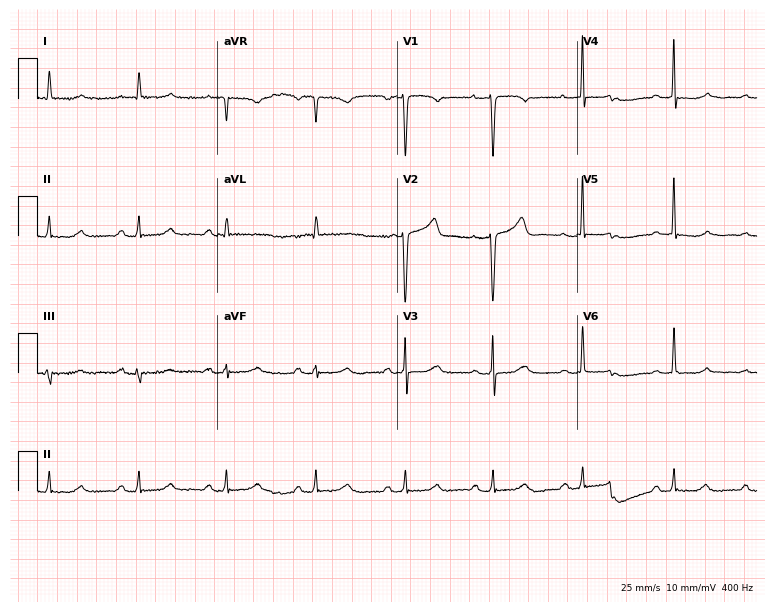
Standard 12-lead ECG recorded from a 53-year-old woman (7.3-second recording at 400 Hz). None of these six findings is recorded: first-degree AV block, right bundle branch block, left bundle branch block, sinus bradycardia, atrial fibrillation, sinus tachycardia. Only these six findings were labelled.